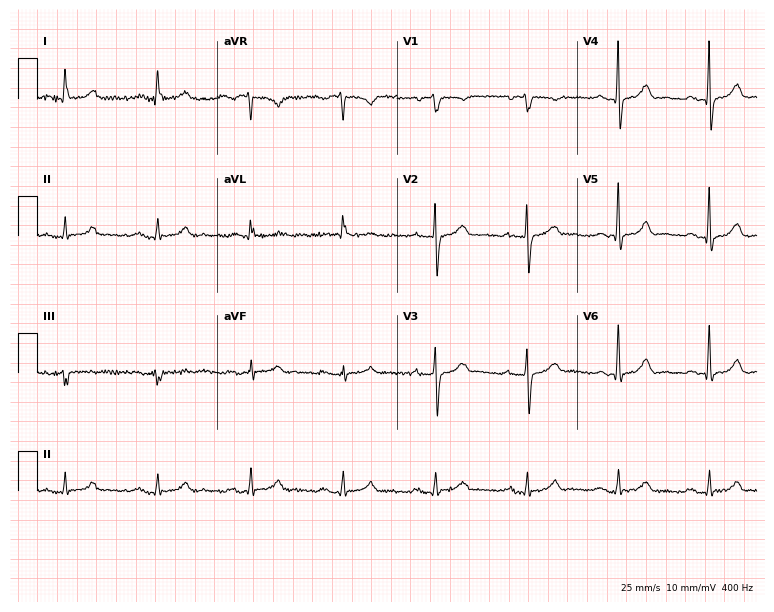
ECG (7.3-second recording at 400 Hz) — an 85-year-old male patient. Labelled as a normal ECG.